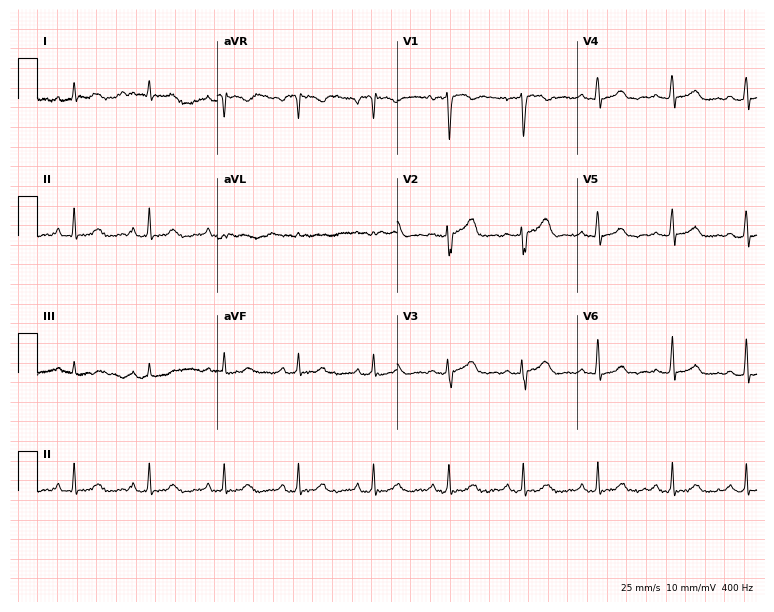
Standard 12-lead ECG recorded from a 38-year-old female patient. None of these six findings is recorded: first-degree AV block, right bundle branch block, left bundle branch block, sinus bradycardia, atrial fibrillation, sinus tachycardia. Other findings, if any, are not listed.